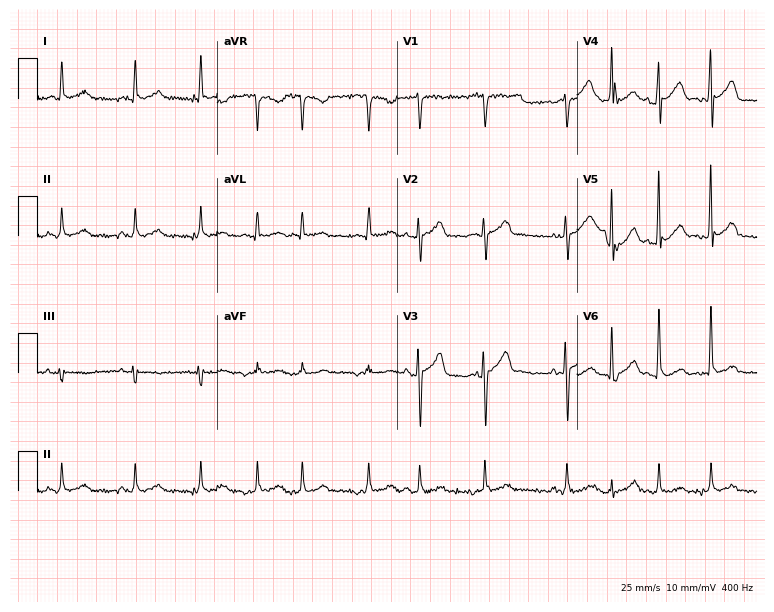
Electrocardiogram (7.3-second recording at 400 Hz), a 75-year-old male patient. Of the six screened findings (first-degree AV block, right bundle branch block (RBBB), left bundle branch block (LBBB), sinus bradycardia, atrial fibrillation (AF), sinus tachycardia), none is recorded.